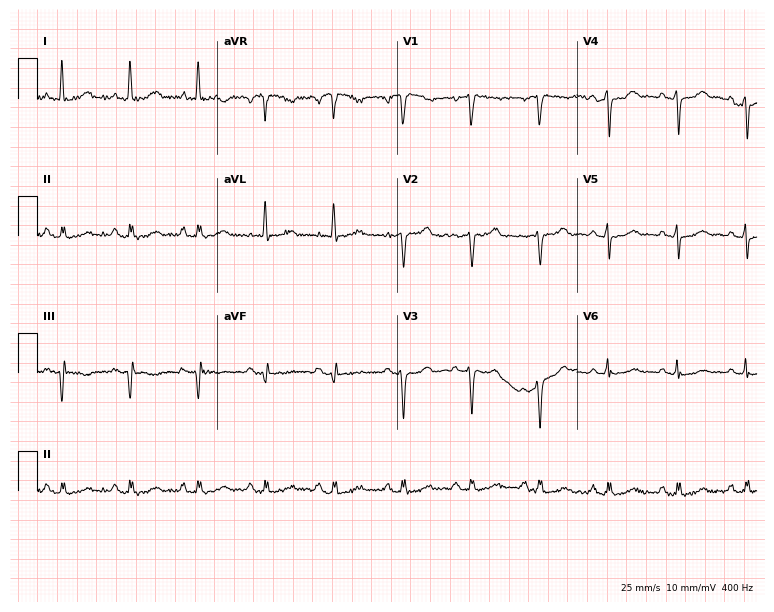
12-lead ECG from a female, 75 years old. Screened for six findings — first-degree AV block, right bundle branch block, left bundle branch block, sinus bradycardia, atrial fibrillation, sinus tachycardia — none is recorded.